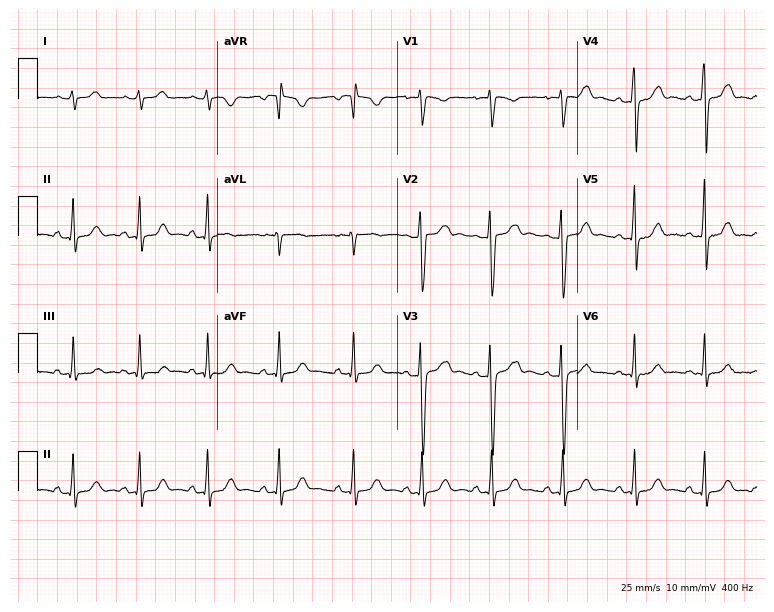
12-lead ECG from a 26-year-old female patient. Labelled as a normal ECG.